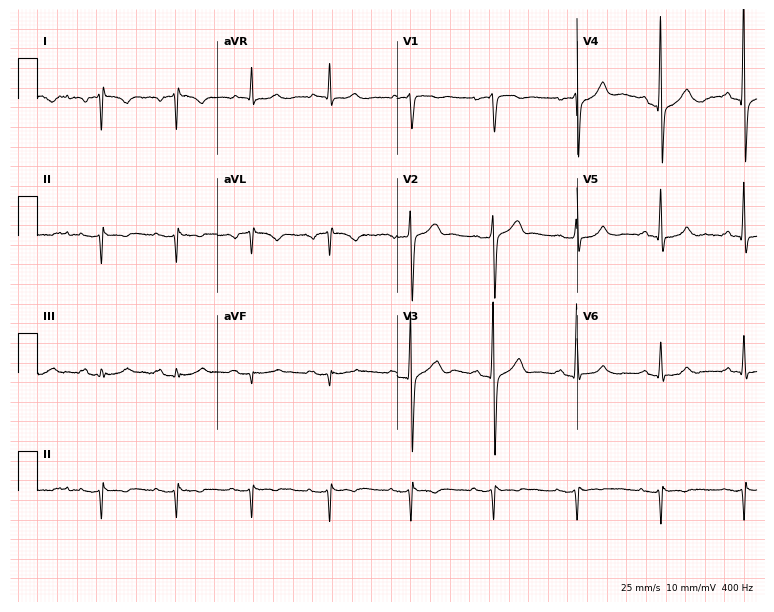
12-lead ECG from a male patient, 67 years old (7.3-second recording at 400 Hz). No first-degree AV block, right bundle branch block, left bundle branch block, sinus bradycardia, atrial fibrillation or sinus tachycardia recorded for this tracing.